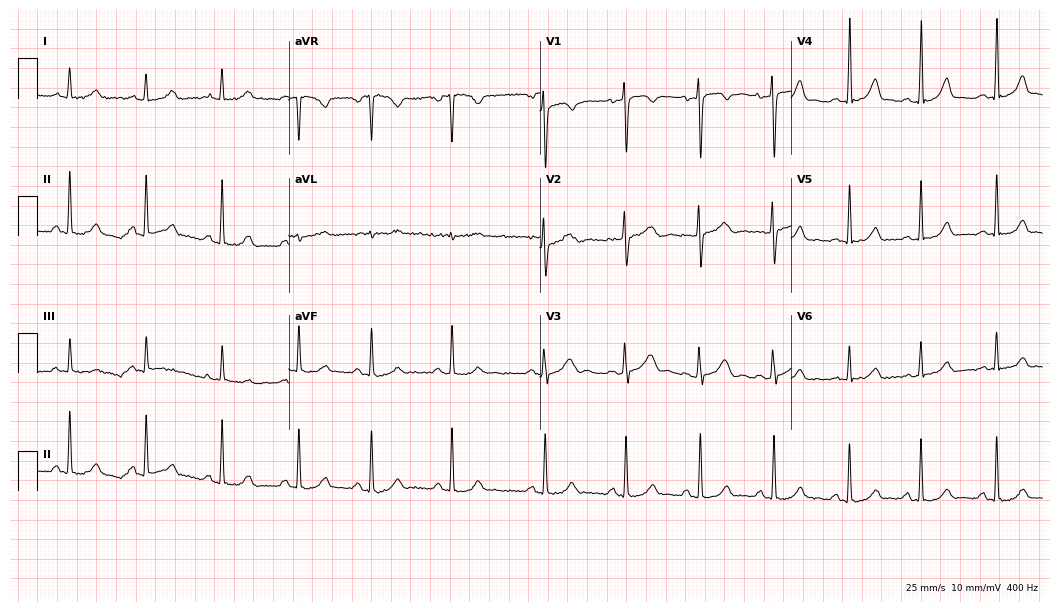
Electrocardiogram, a woman, 17 years old. Overall reading on record: normal ECG.